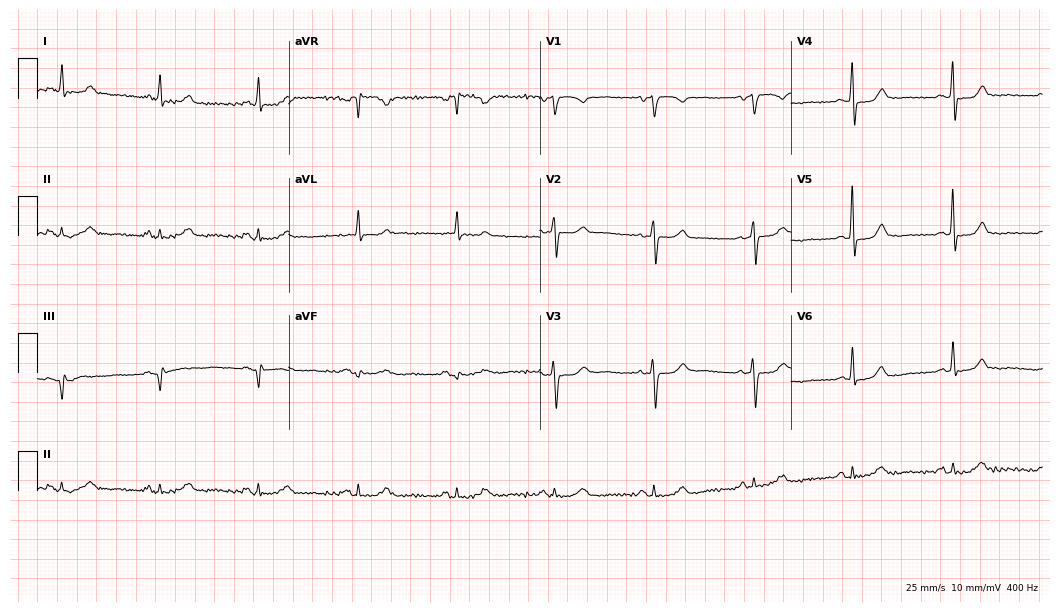
Electrocardiogram, a 68-year-old female. Of the six screened findings (first-degree AV block, right bundle branch block, left bundle branch block, sinus bradycardia, atrial fibrillation, sinus tachycardia), none is recorded. Only these six findings were labelled.